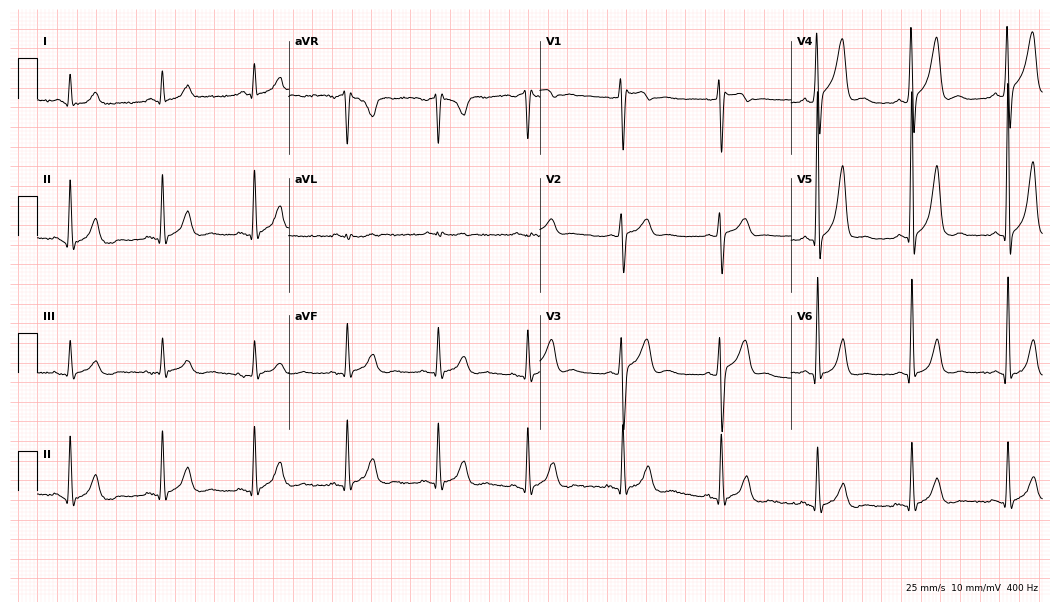
12-lead ECG from a male, 52 years old. No first-degree AV block, right bundle branch block (RBBB), left bundle branch block (LBBB), sinus bradycardia, atrial fibrillation (AF) or sinus tachycardia recorded for this tracing.